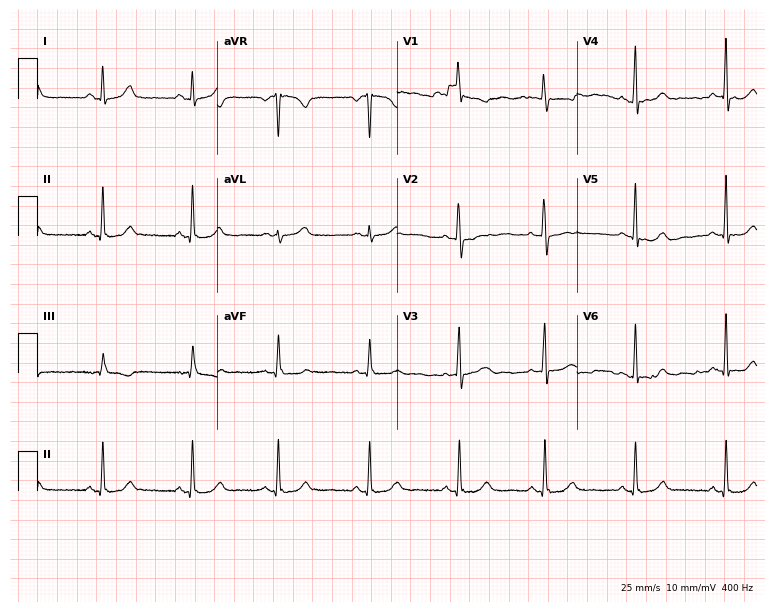
Standard 12-lead ECG recorded from a female patient, 29 years old. Read as a normal ECG.